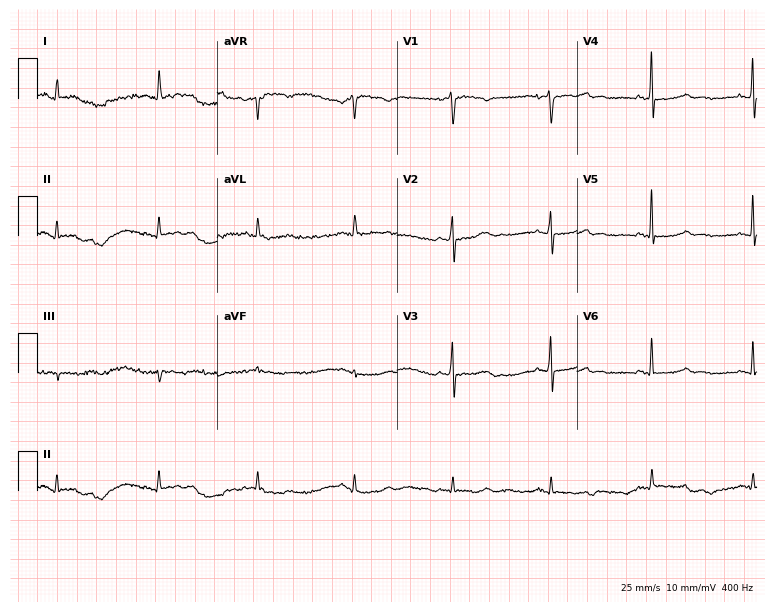
12-lead ECG from a female patient, 65 years old (7.3-second recording at 400 Hz). No first-degree AV block, right bundle branch block, left bundle branch block, sinus bradycardia, atrial fibrillation or sinus tachycardia recorded for this tracing.